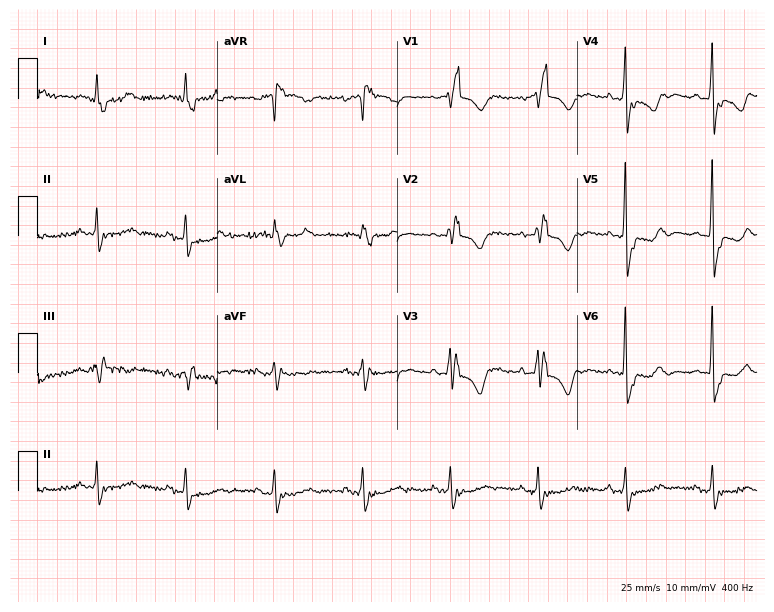
Standard 12-lead ECG recorded from a female patient, 79 years old (7.3-second recording at 400 Hz). The tracing shows right bundle branch block.